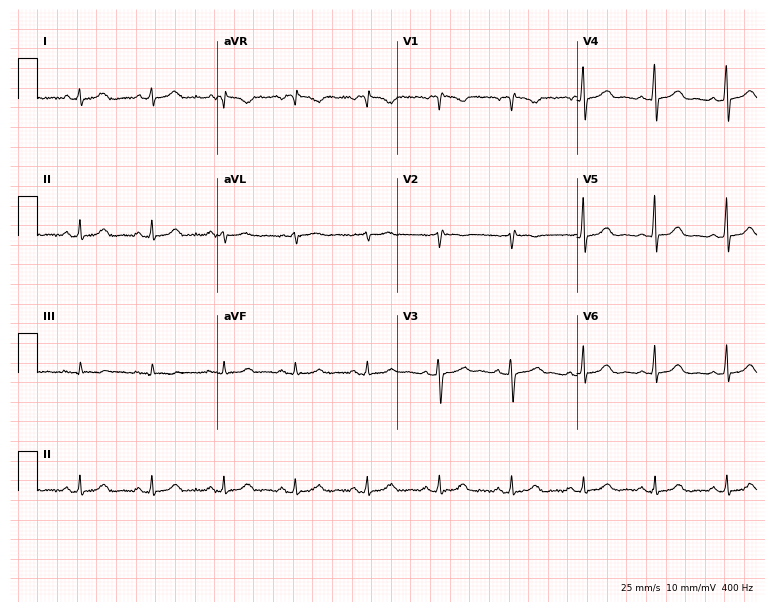
Electrocardiogram, a female, 38 years old. Of the six screened findings (first-degree AV block, right bundle branch block, left bundle branch block, sinus bradycardia, atrial fibrillation, sinus tachycardia), none is recorded. Findings outside these six are not listed.